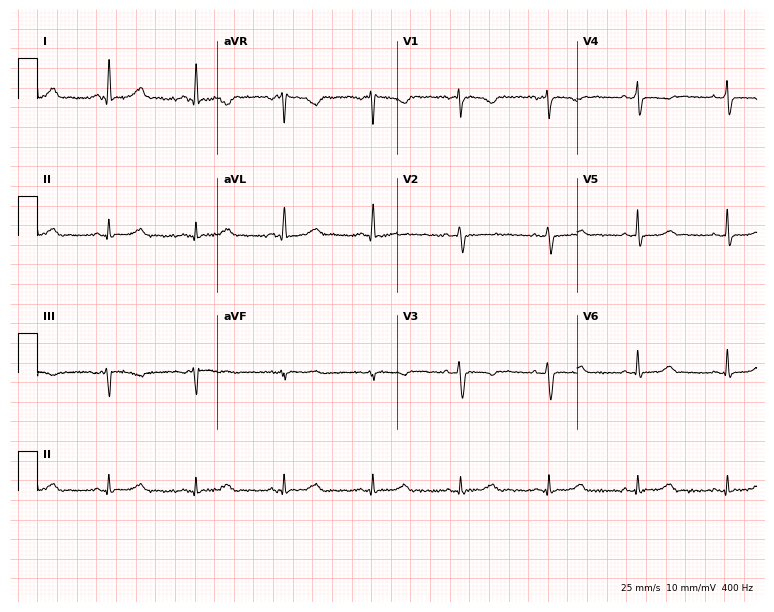
12-lead ECG from a 52-year-old female (7.3-second recording at 400 Hz). No first-degree AV block, right bundle branch block (RBBB), left bundle branch block (LBBB), sinus bradycardia, atrial fibrillation (AF) or sinus tachycardia recorded for this tracing. Only these six findings were labelled.